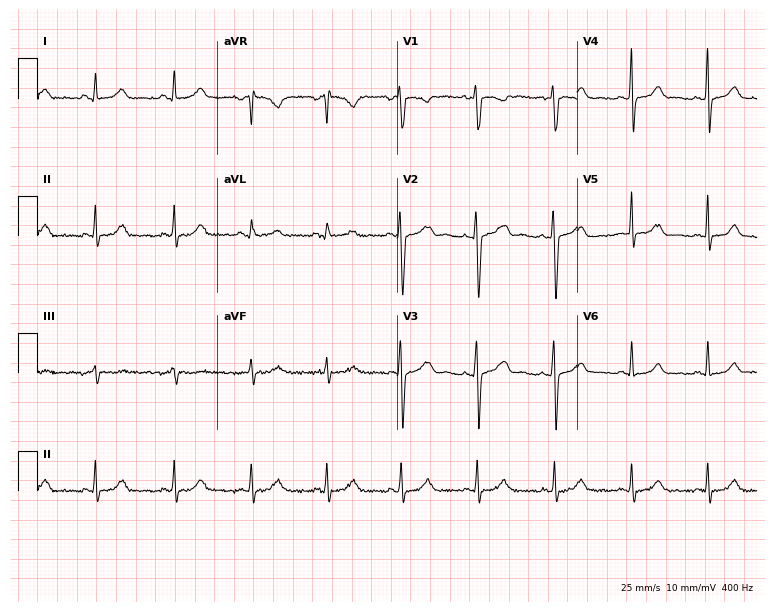
12-lead ECG from a woman, 32 years old (7.3-second recording at 400 Hz). Recorded interpretation: within normal limits.